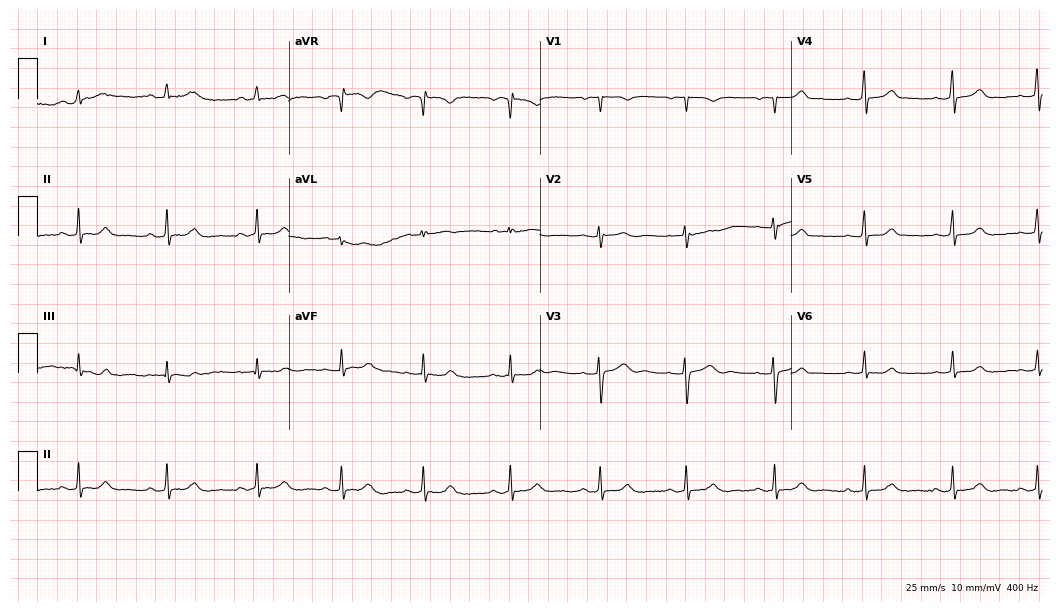
Resting 12-lead electrocardiogram (10.2-second recording at 400 Hz). Patient: a 19-year-old female. Read as a normal ECG.